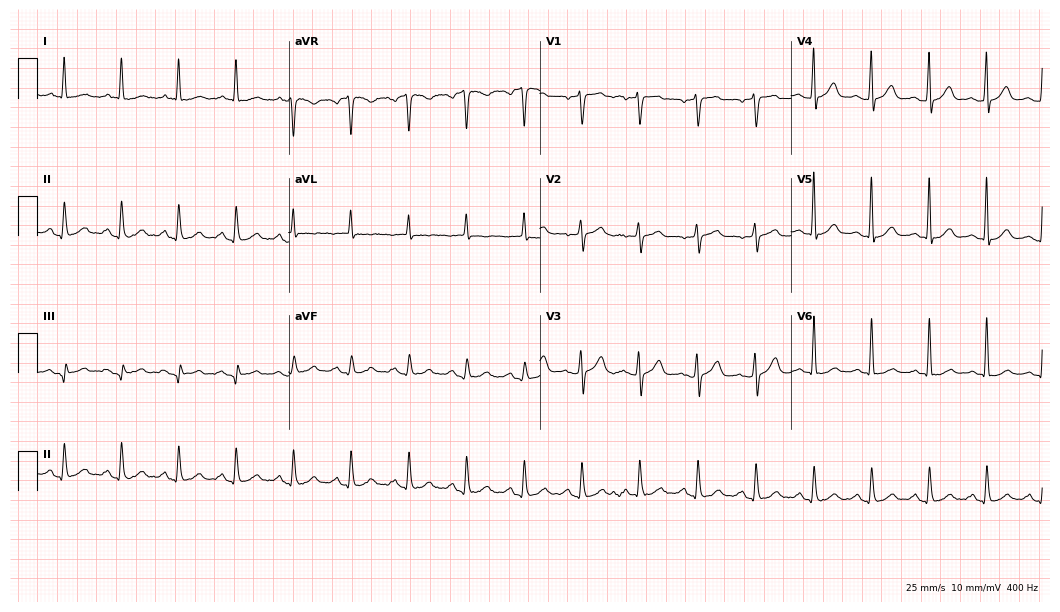
12-lead ECG (10.2-second recording at 400 Hz) from a male, 69 years old. Labelled as a normal ECG.